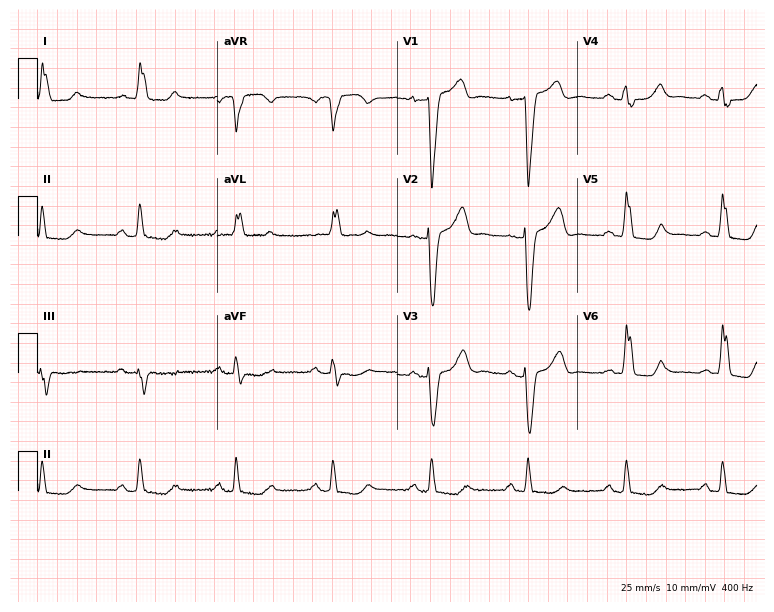
12-lead ECG from an 83-year-old female. Shows left bundle branch block.